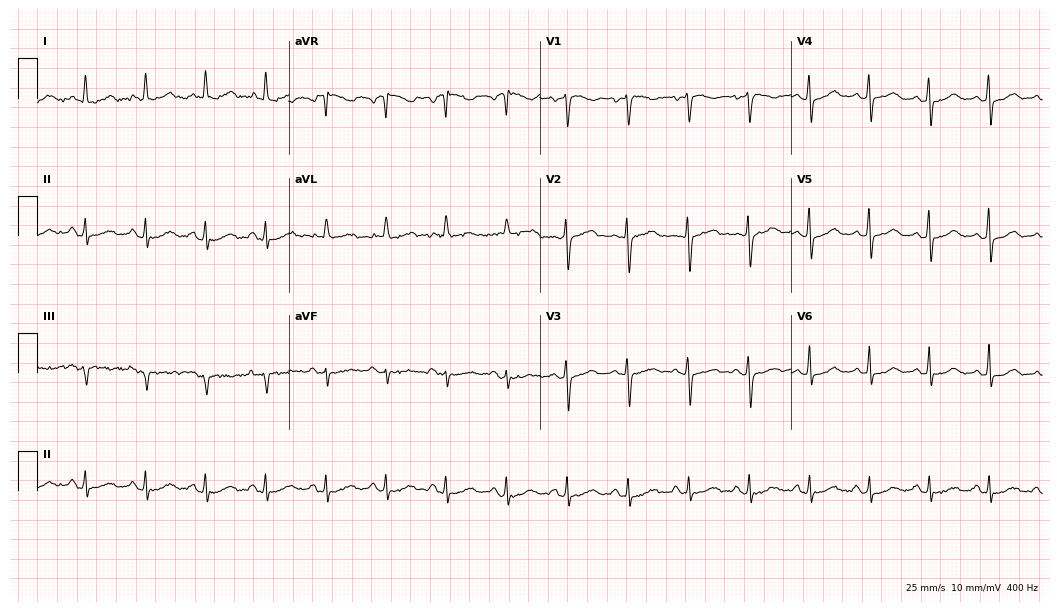
12-lead ECG from a female patient, 43 years old. Recorded interpretation: within normal limits.